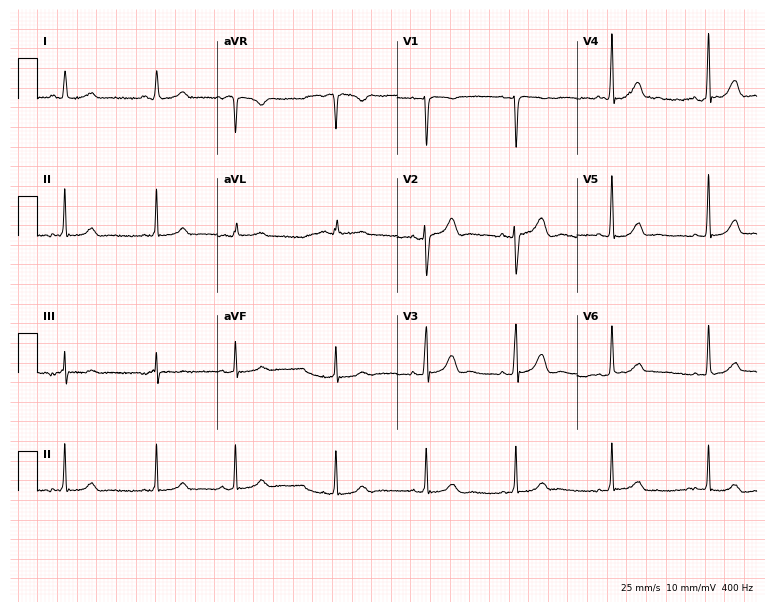
ECG (7.3-second recording at 400 Hz) — a woman, 20 years old. Labelled as a normal ECG.